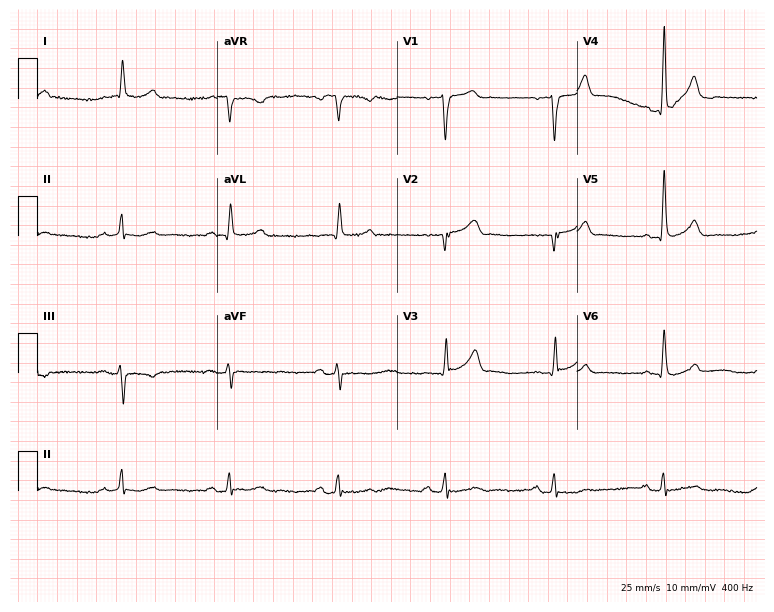
Electrocardiogram (7.3-second recording at 400 Hz), a 56-year-old man. Of the six screened findings (first-degree AV block, right bundle branch block (RBBB), left bundle branch block (LBBB), sinus bradycardia, atrial fibrillation (AF), sinus tachycardia), none is recorded.